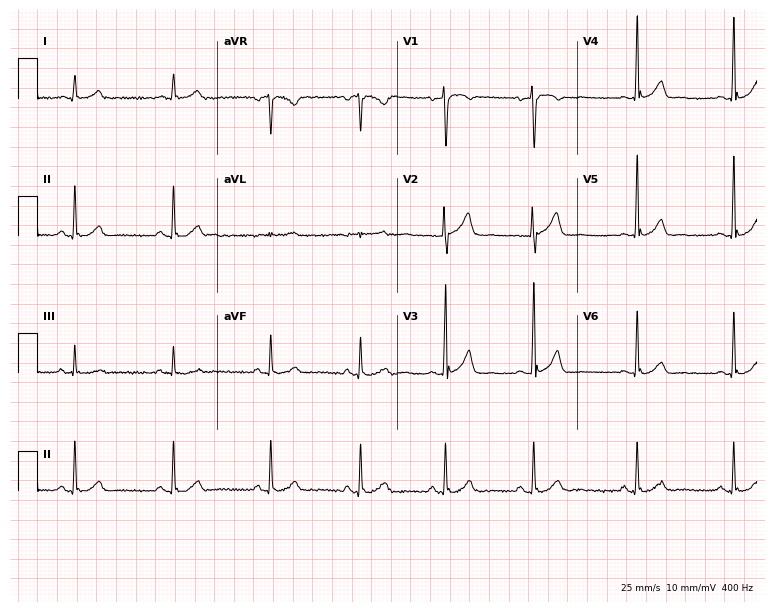
12-lead ECG from a 35-year-old man. Screened for six findings — first-degree AV block, right bundle branch block, left bundle branch block, sinus bradycardia, atrial fibrillation, sinus tachycardia — none is recorded. Other findings, if any, are not listed.